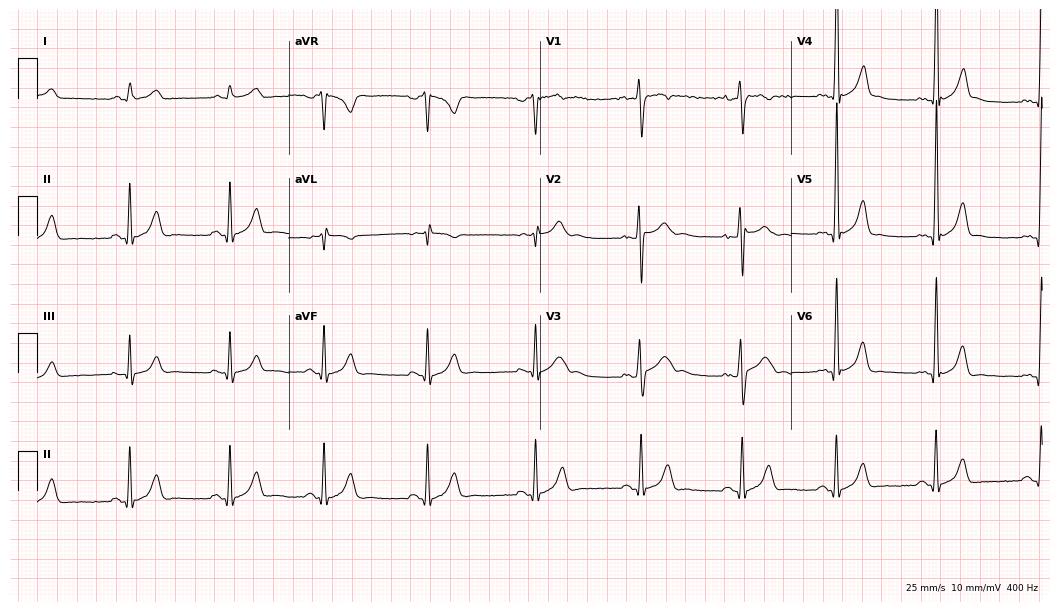
Resting 12-lead electrocardiogram (10.2-second recording at 400 Hz). Patient: a male, 26 years old. Read as a normal ECG.